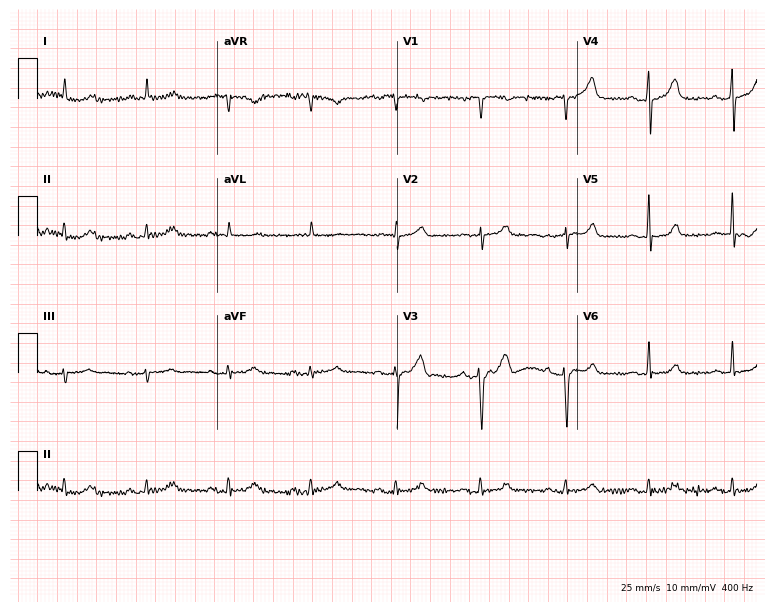
12-lead ECG from a male patient, 75 years old (7.3-second recording at 400 Hz). No first-degree AV block, right bundle branch block (RBBB), left bundle branch block (LBBB), sinus bradycardia, atrial fibrillation (AF) or sinus tachycardia recorded for this tracing. Findings outside these six are not listed.